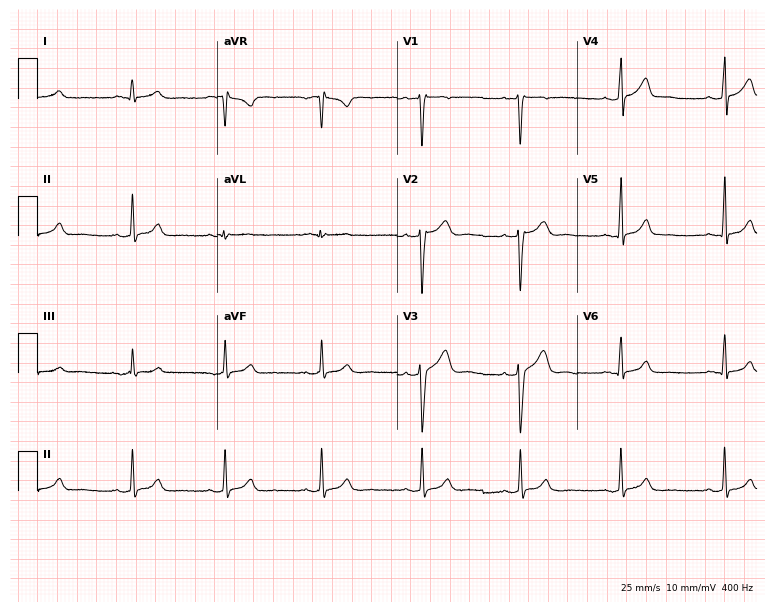
ECG (7.3-second recording at 400 Hz) — a 30-year-old male patient. Labelled as a normal ECG.